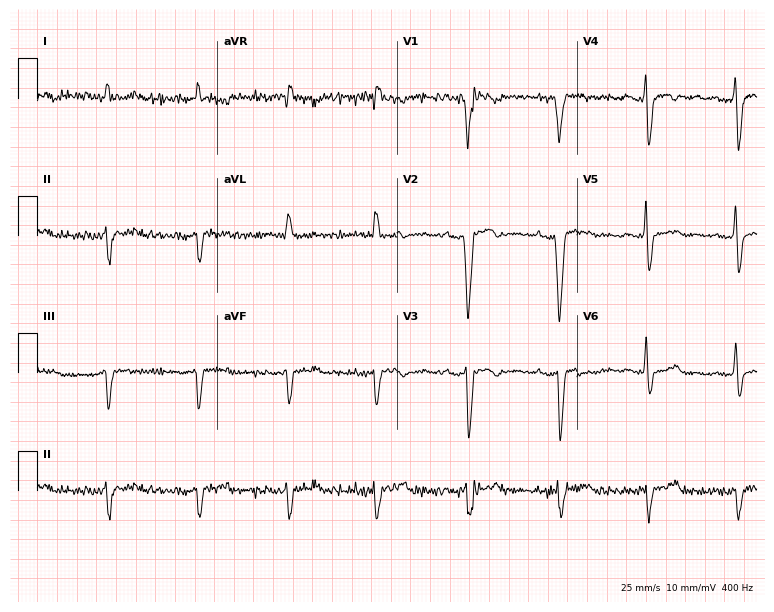
ECG (7.3-second recording at 400 Hz) — a 39-year-old male. Screened for six findings — first-degree AV block, right bundle branch block (RBBB), left bundle branch block (LBBB), sinus bradycardia, atrial fibrillation (AF), sinus tachycardia — none is recorded. Only these six findings were labelled.